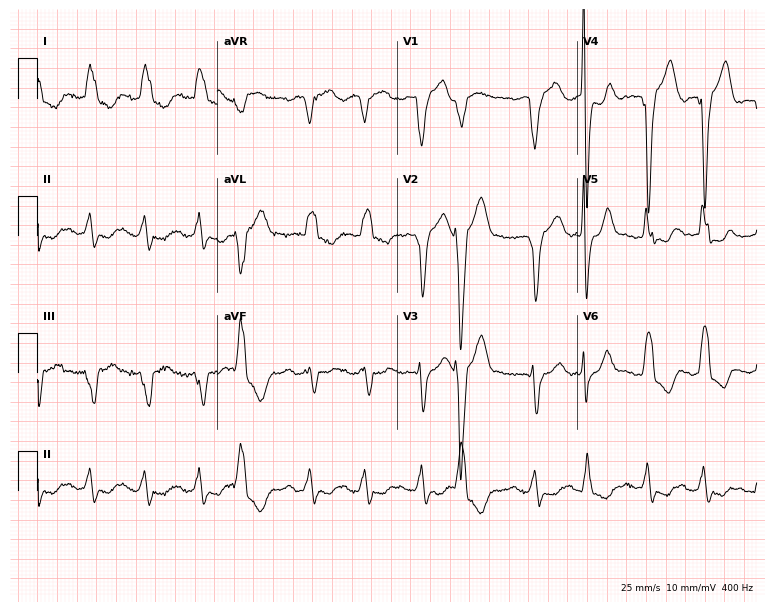
12-lead ECG from a 74-year-old male (7.3-second recording at 400 Hz). No first-degree AV block, right bundle branch block, left bundle branch block, sinus bradycardia, atrial fibrillation or sinus tachycardia recorded for this tracing. Findings outside these six are not listed.